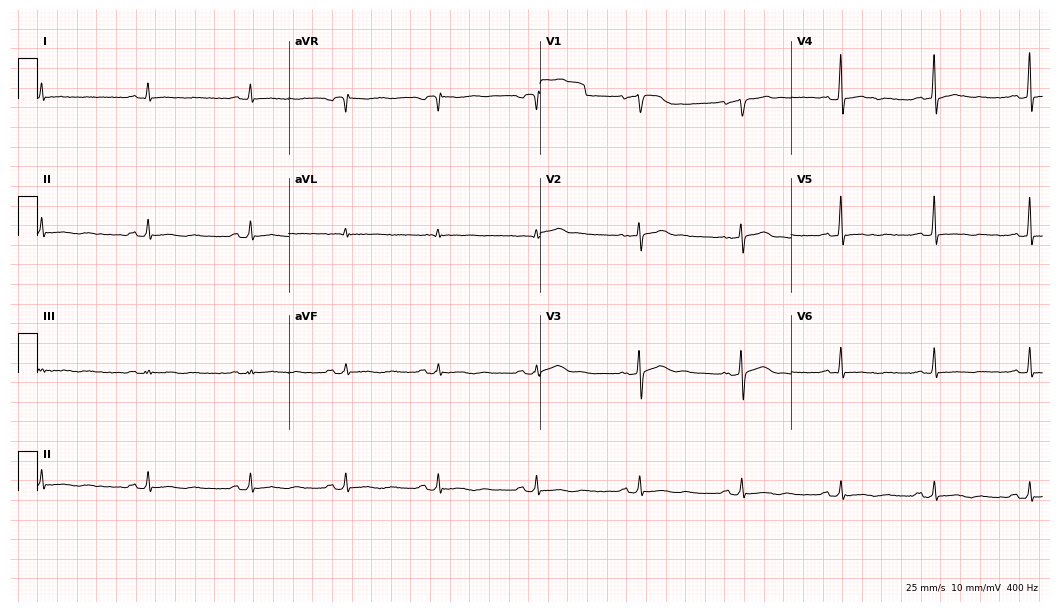
12-lead ECG from a 47-year-old male. No first-degree AV block, right bundle branch block, left bundle branch block, sinus bradycardia, atrial fibrillation or sinus tachycardia recorded for this tracing.